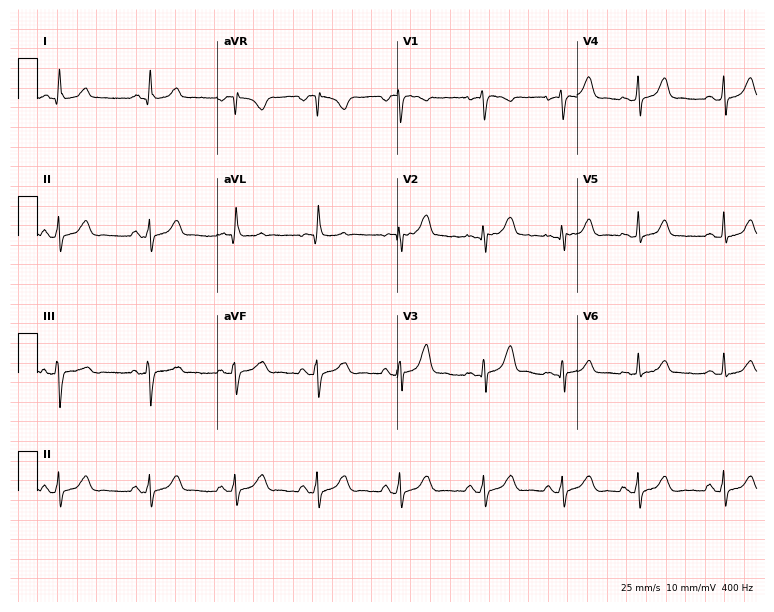
Electrocardiogram (7.3-second recording at 400 Hz), a woman, 28 years old. Overall reading on record: normal ECG.